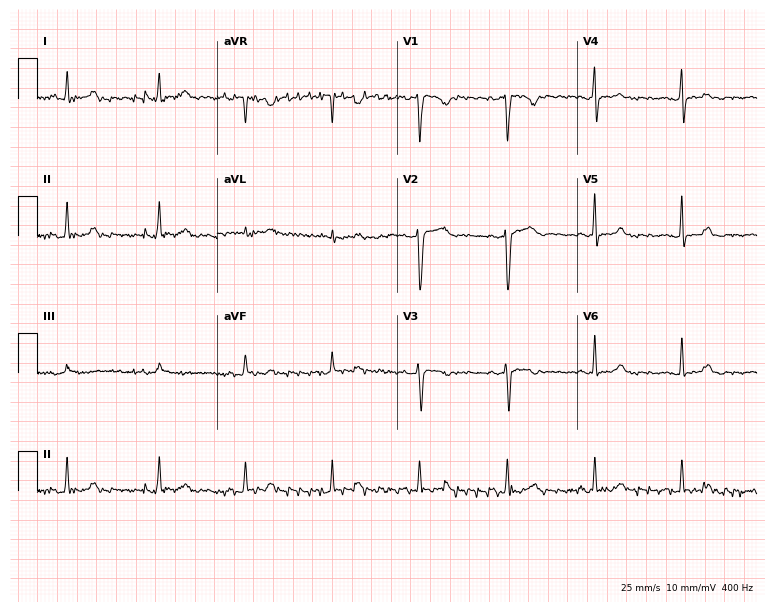
12-lead ECG from a man, 34 years old (7.3-second recording at 400 Hz). No first-degree AV block, right bundle branch block (RBBB), left bundle branch block (LBBB), sinus bradycardia, atrial fibrillation (AF) or sinus tachycardia recorded for this tracing. Other findings, if any, are not listed.